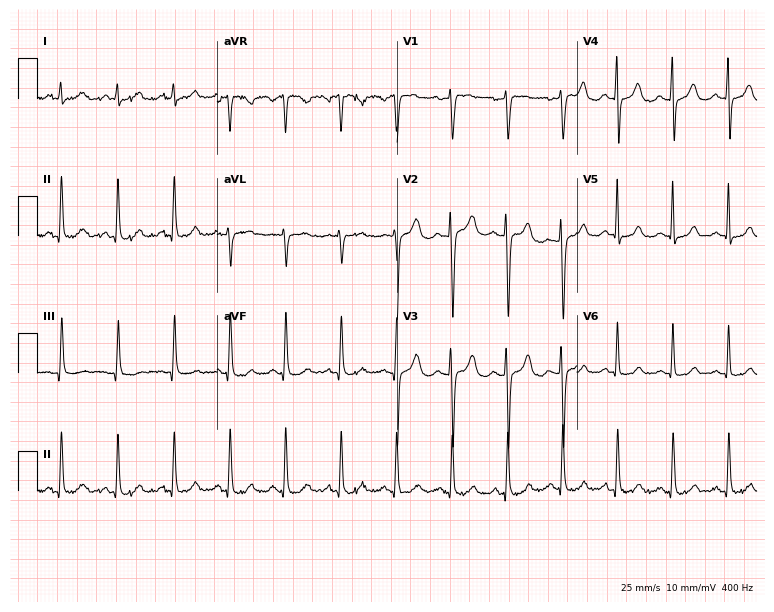
12-lead ECG from a female patient, 62 years old. Screened for six findings — first-degree AV block, right bundle branch block, left bundle branch block, sinus bradycardia, atrial fibrillation, sinus tachycardia — none is recorded.